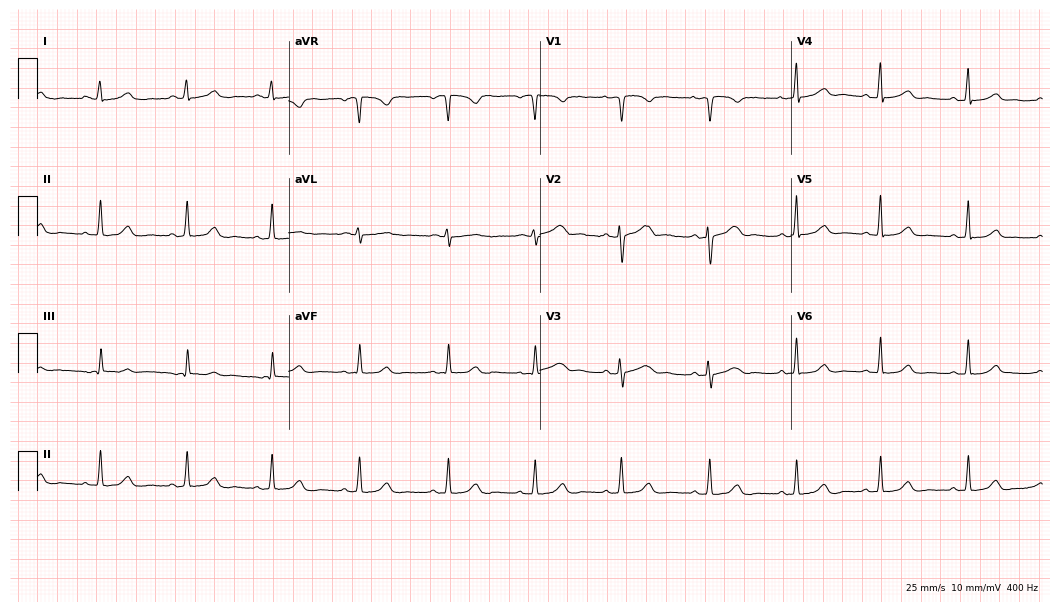
ECG — a woman, 40 years old. Labelled as a normal ECG.